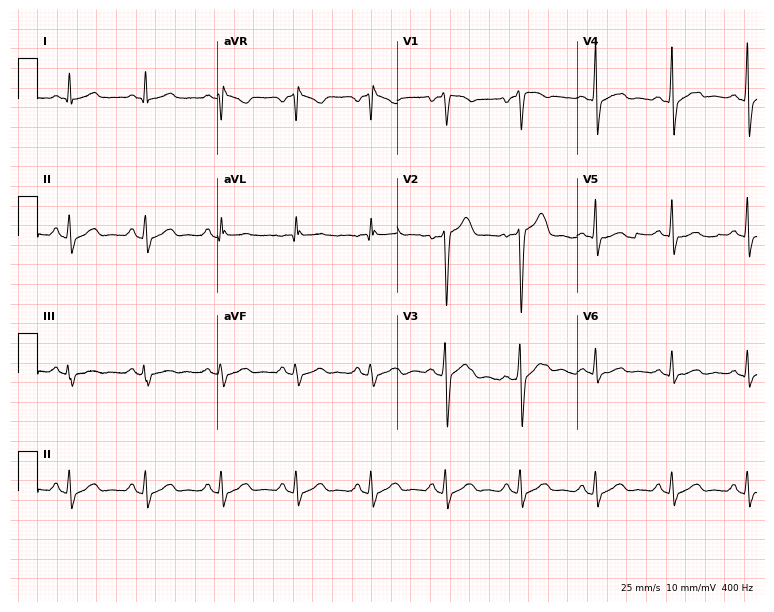
Resting 12-lead electrocardiogram. Patient: a 35-year-old male. Read as a normal ECG.